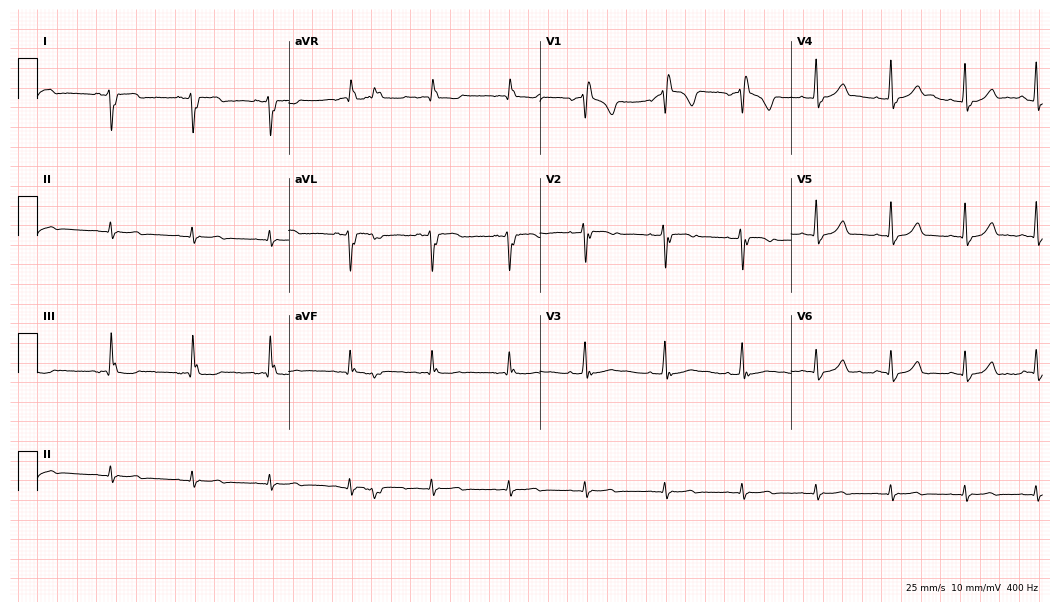
12-lead ECG (10.2-second recording at 400 Hz) from a 36-year-old woman. Findings include right bundle branch block.